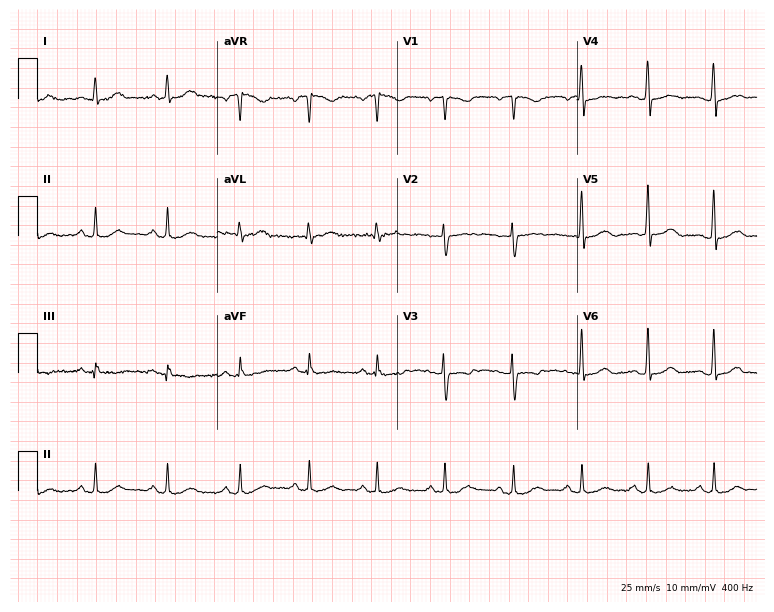
12-lead ECG from a female, 48 years old. Screened for six findings — first-degree AV block, right bundle branch block (RBBB), left bundle branch block (LBBB), sinus bradycardia, atrial fibrillation (AF), sinus tachycardia — none is recorded.